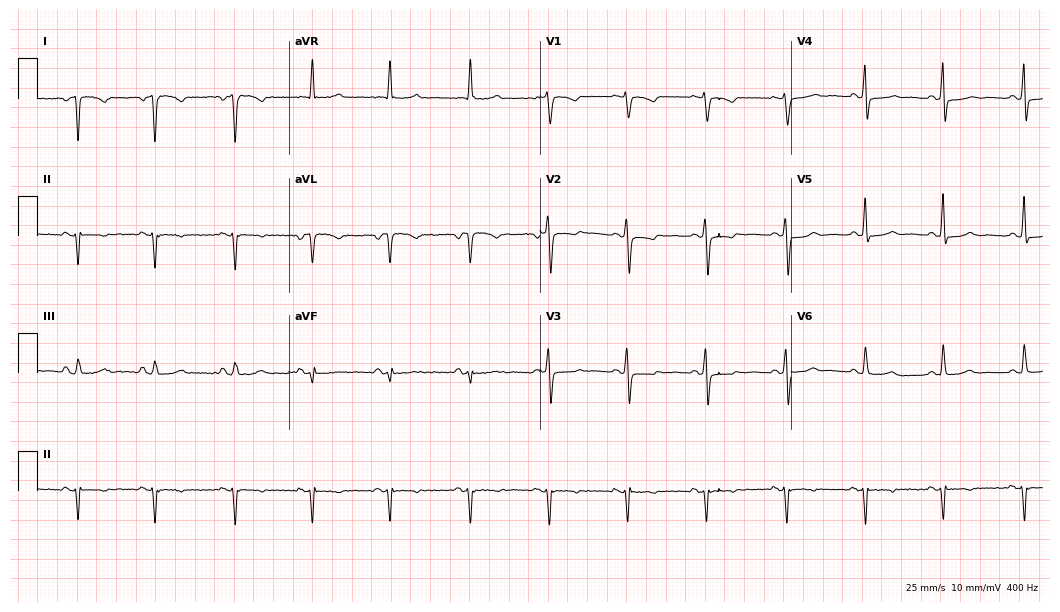
Resting 12-lead electrocardiogram. Patient: a 68-year-old female. None of these six findings is recorded: first-degree AV block, right bundle branch block, left bundle branch block, sinus bradycardia, atrial fibrillation, sinus tachycardia. Only these six findings were labelled.